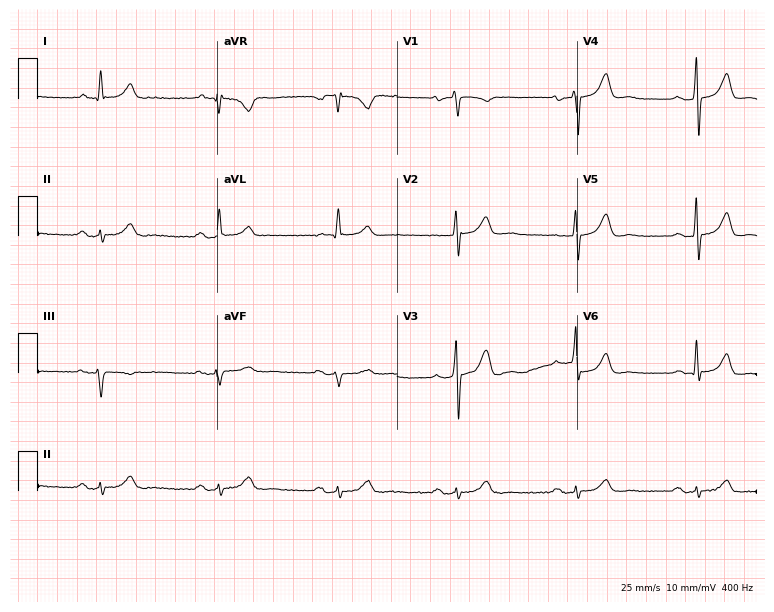
Electrocardiogram, a man, 74 years old. Interpretation includes first-degree AV block.